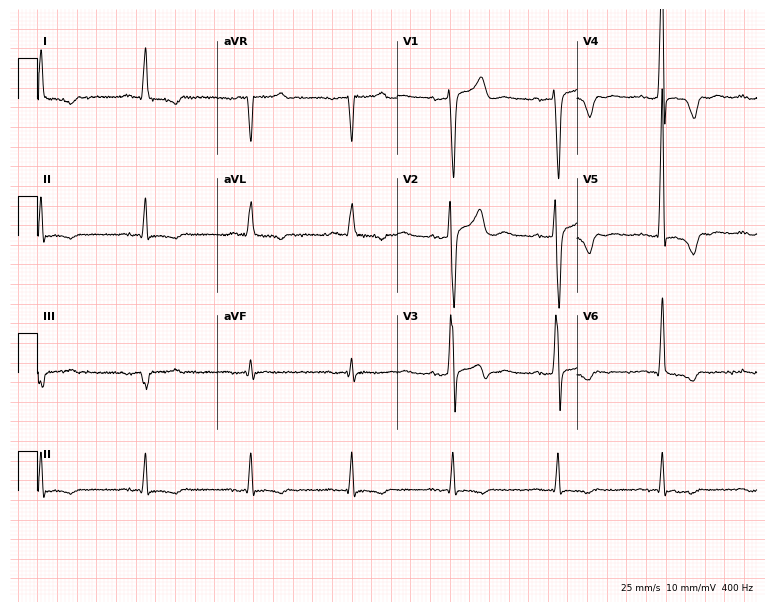
Standard 12-lead ECG recorded from a male, 45 years old (7.3-second recording at 400 Hz). None of these six findings is recorded: first-degree AV block, right bundle branch block, left bundle branch block, sinus bradycardia, atrial fibrillation, sinus tachycardia. Findings outside these six are not listed.